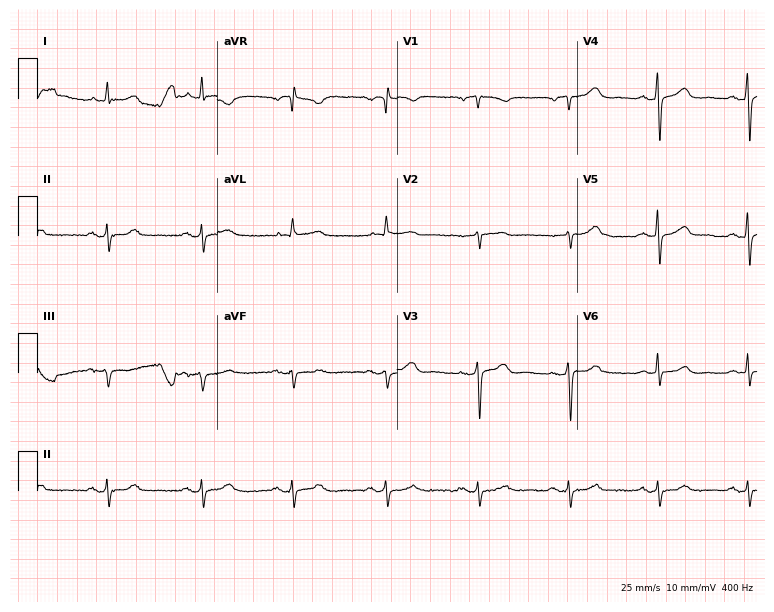
12-lead ECG from a male patient, 70 years old. Screened for six findings — first-degree AV block, right bundle branch block, left bundle branch block, sinus bradycardia, atrial fibrillation, sinus tachycardia — none is recorded. Other findings, if any, are not listed.